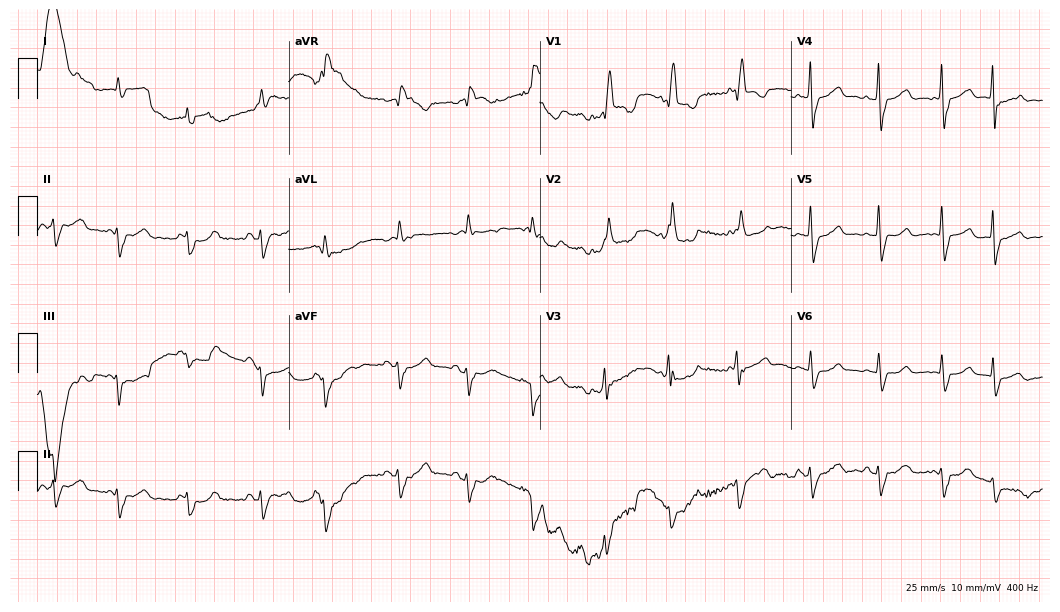
Resting 12-lead electrocardiogram (10.2-second recording at 400 Hz). Patient: an 86-year-old man. None of these six findings is recorded: first-degree AV block, right bundle branch block, left bundle branch block, sinus bradycardia, atrial fibrillation, sinus tachycardia.